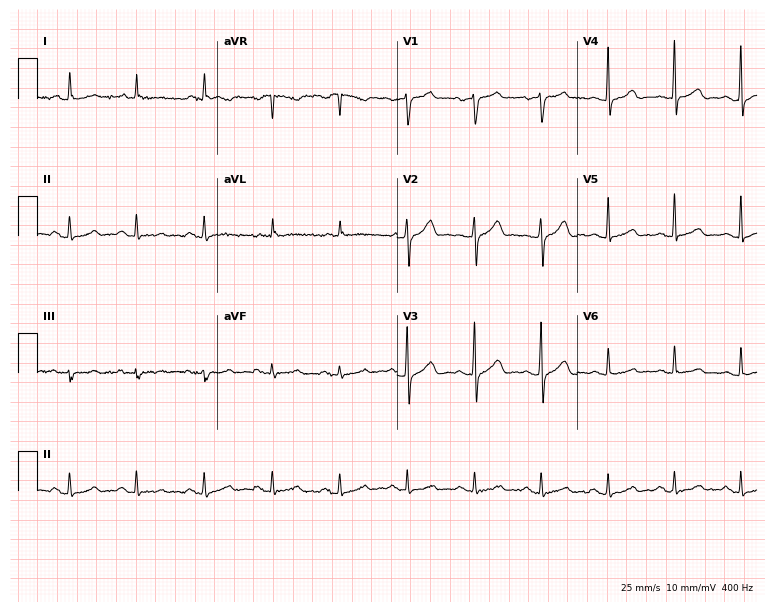
Electrocardiogram, a 69-year-old male. Overall reading on record: normal ECG.